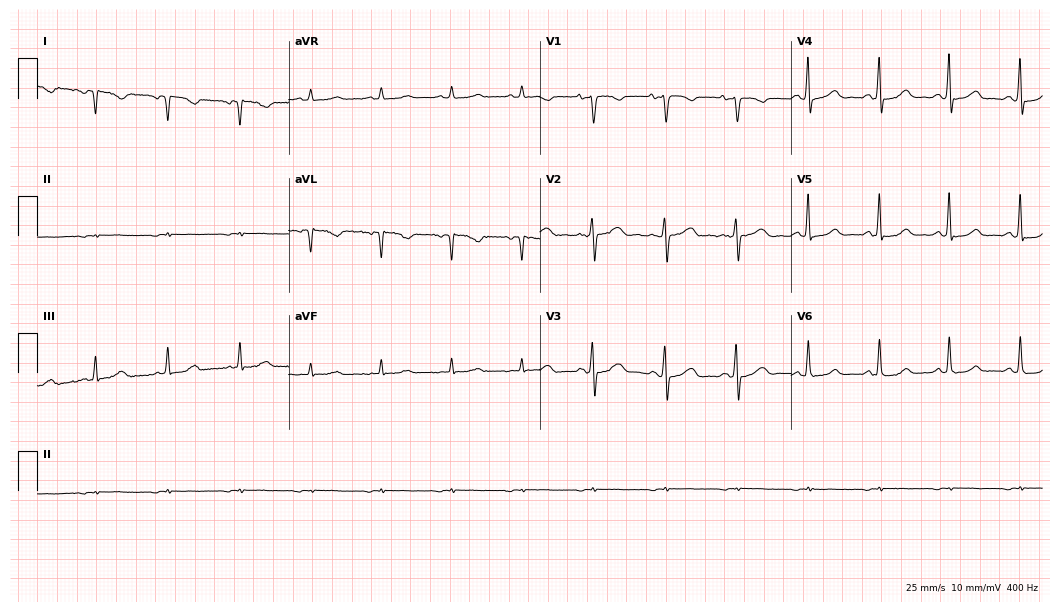
Standard 12-lead ECG recorded from a woman, 40 years old (10.2-second recording at 400 Hz). None of these six findings is recorded: first-degree AV block, right bundle branch block, left bundle branch block, sinus bradycardia, atrial fibrillation, sinus tachycardia. Only these six findings were labelled.